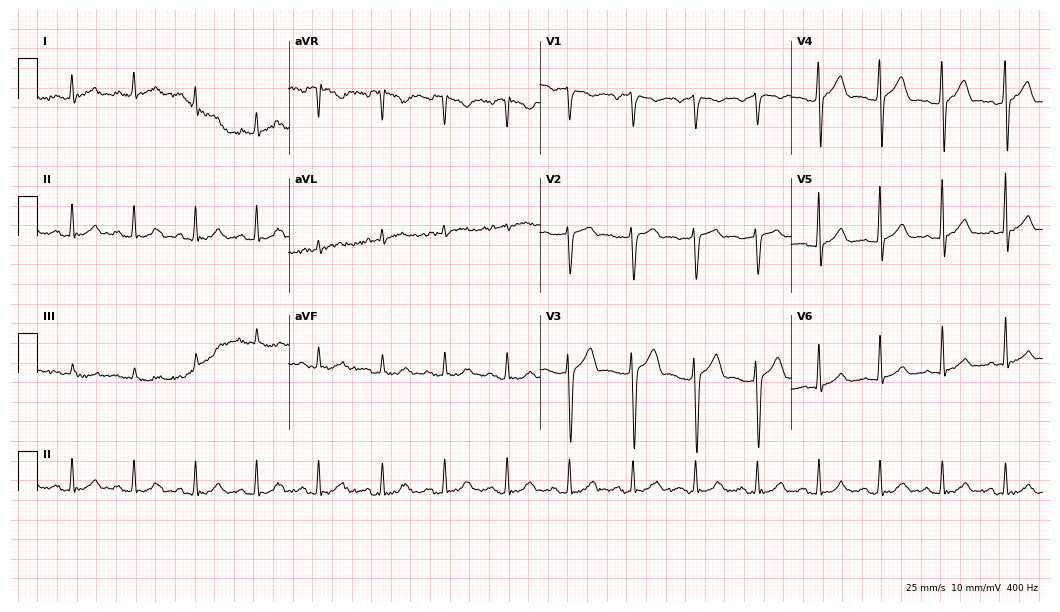
12-lead ECG from a 31-year-old man. Recorded interpretation: within normal limits.